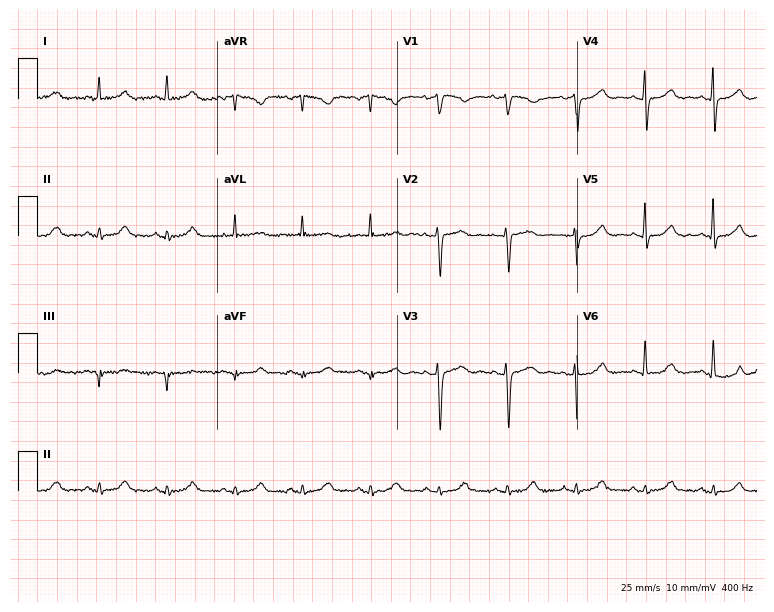
12-lead ECG from a female, 73 years old (7.3-second recording at 400 Hz). Recorded interpretation: within normal limits.